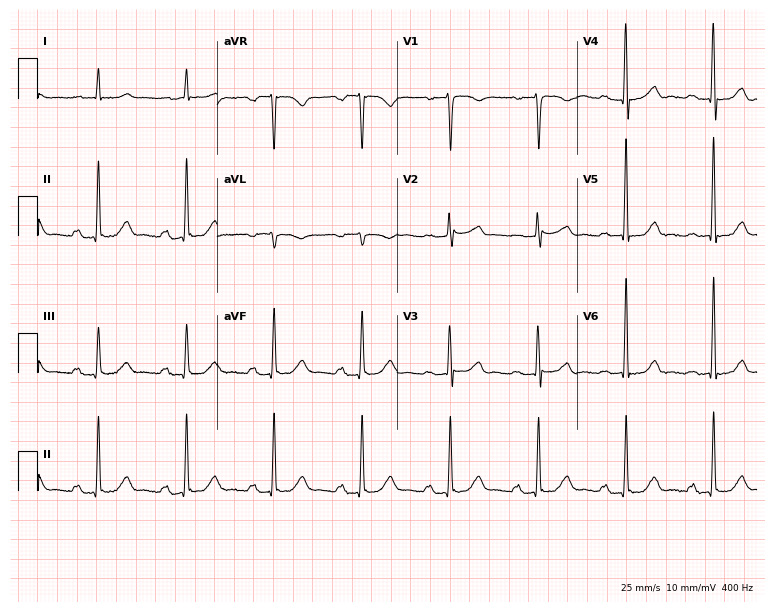
Electrocardiogram, an 83-year-old male patient. Interpretation includes first-degree AV block.